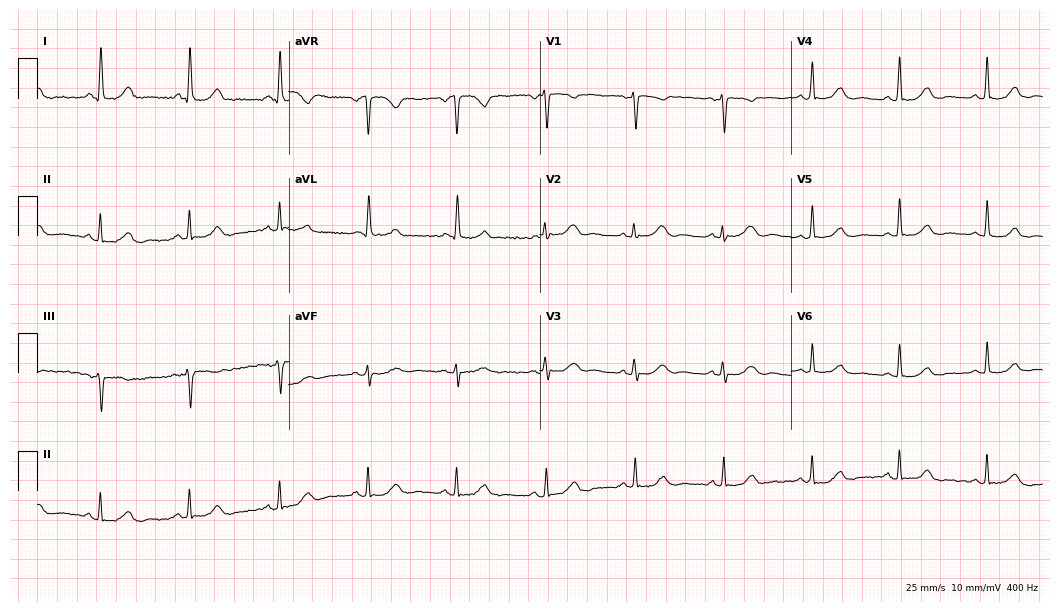
12-lead ECG (10.2-second recording at 400 Hz) from a 67-year-old female. Screened for six findings — first-degree AV block, right bundle branch block, left bundle branch block, sinus bradycardia, atrial fibrillation, sinus tachycardia — none is recorded.